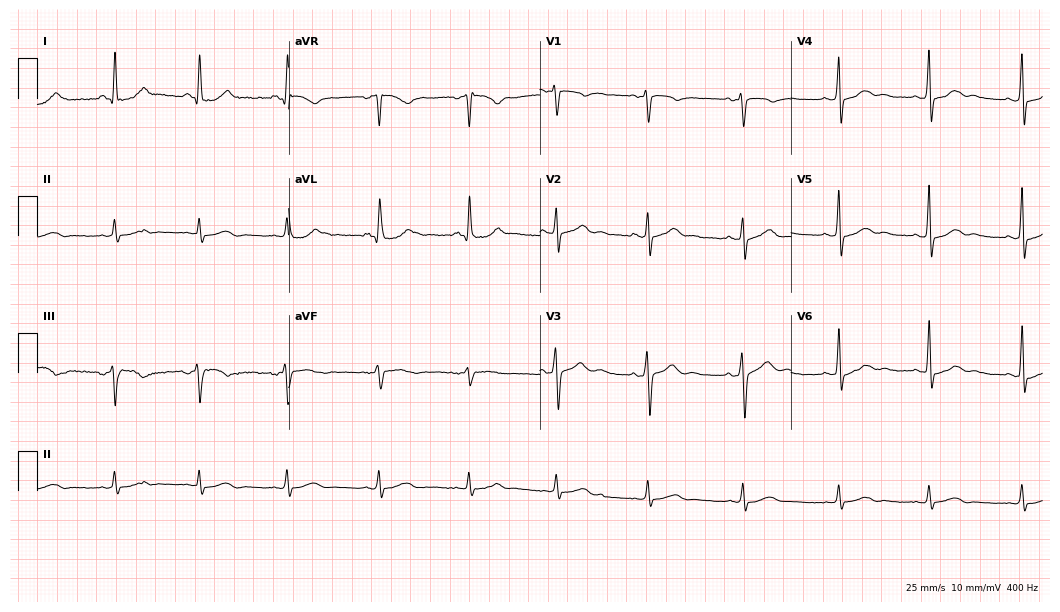
Resting 12-lead electrocardiogram (10.2-second recording at 400 Hz). Patient: a man, 39 years old. Read as a normal ECG.